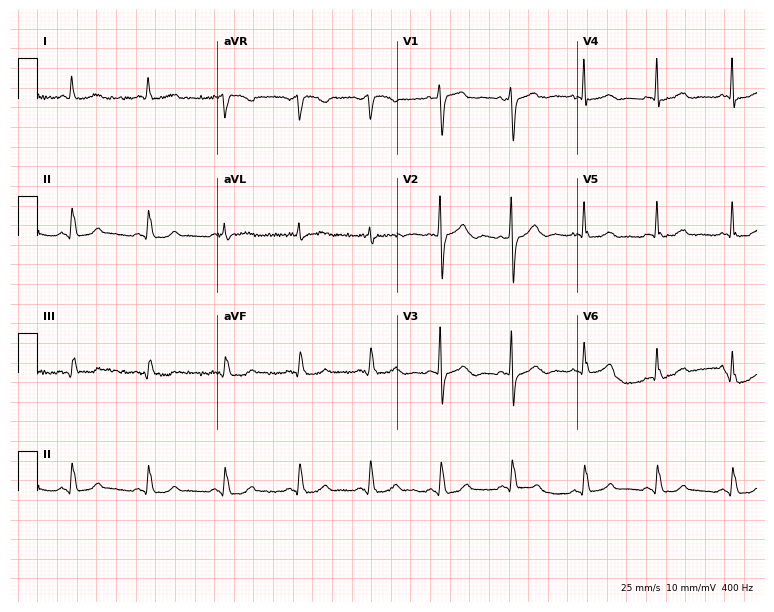
ECG — a 67-year-old female. Labelled as a normal ECG.